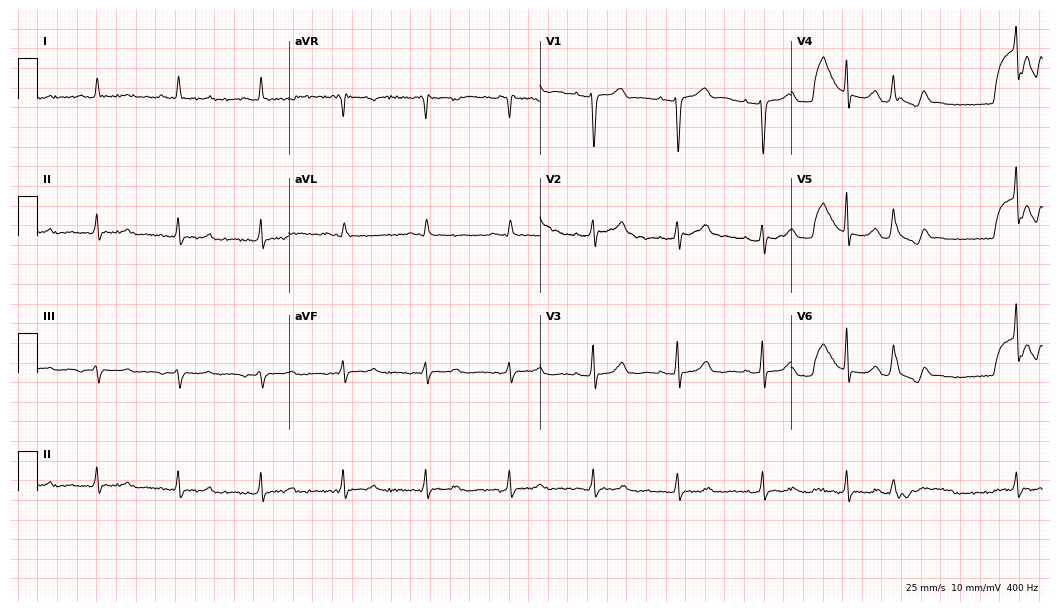
Resting 12-lead electrocardiogram (10.2-second recording at 400 Hz). Patient: a man, 82 years old. None of these six findings is recorded: first-degree AV block, right bundle branch block, left bundle branch block, sinus bradycardia, atrial fibrillation, sinus tachycardia. Findings outside these six are not listed.